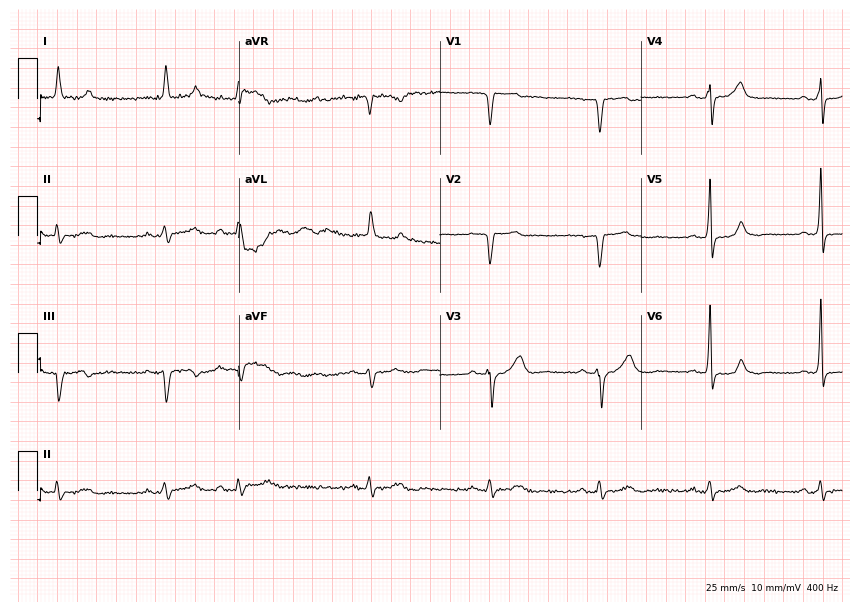
Electrocardiogram, an 85-year-old man. Interpretation includes sinus bradycardia (a sinus rate of 50 beats per minute or less), atrial fibrillation (AF).